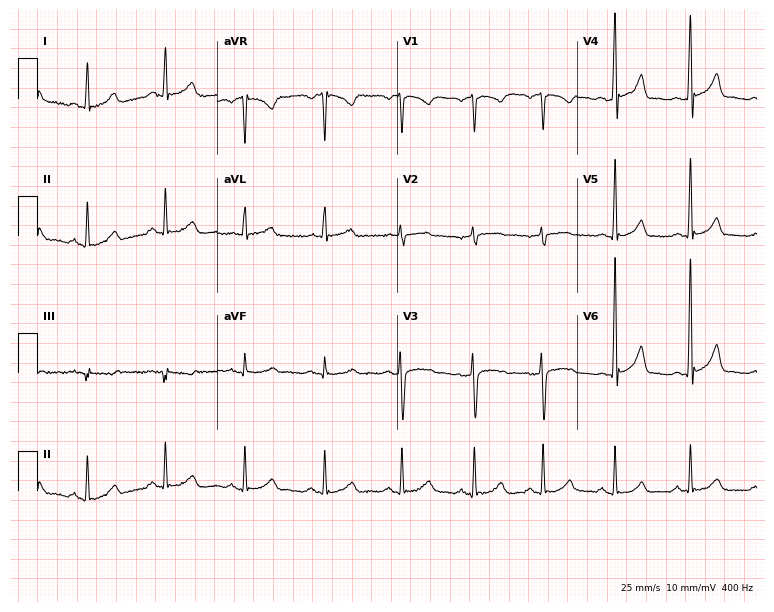
ECG (7.3-second recording at 400 Hz) — a female patient, 58 years old. Labelled as a normal ECG.